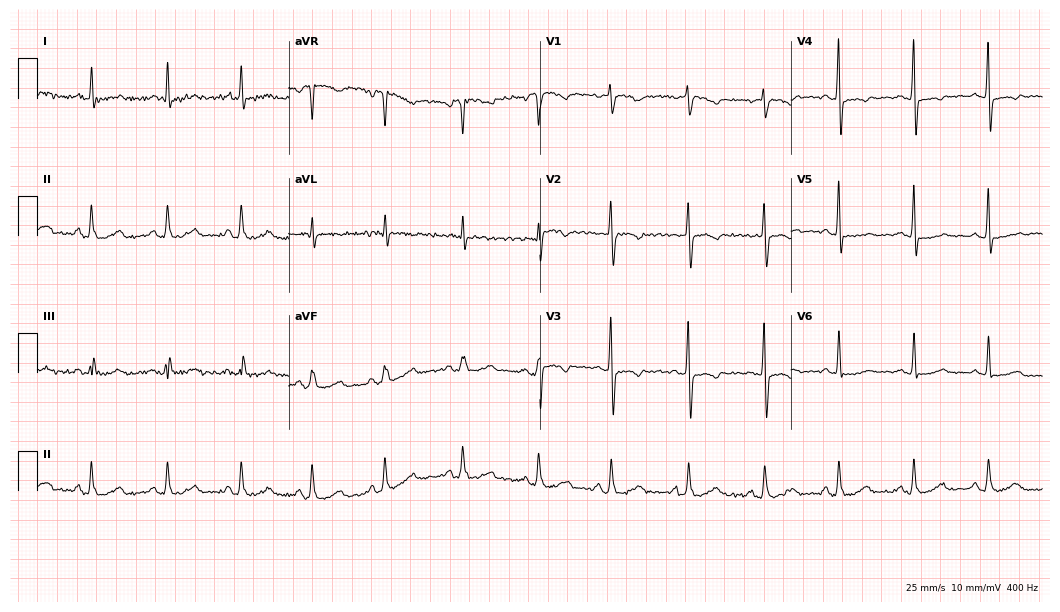
12-lead ECG (10.2-second recording at 400 Hz) from a 61-year-old female patient. Labelled as a normal ECG.